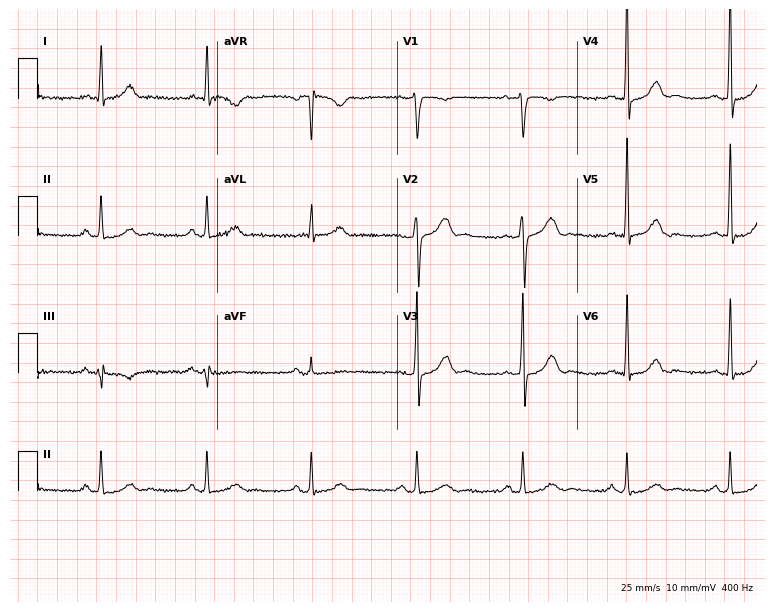
12-lead ECG from a male, 61 years old (7.3-second recording at 400 Hz). Recorded interpretation: within normal limits.